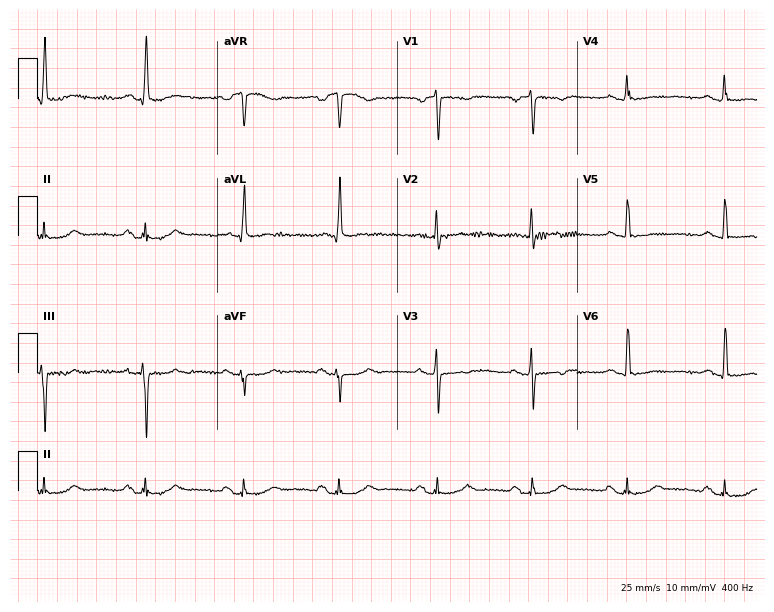
Electrocardiogram (7.3-second recording at 400 Hz), a 69-year-old female. Of the six screened findings (first-degree AV block, right bundle branch block (RBBB), left bundle branch block (LBBB), sinus bradycardia, atrial fibrillation (AF), sinus tachycardia), none is recorded. Other findings, if any, are not listed.